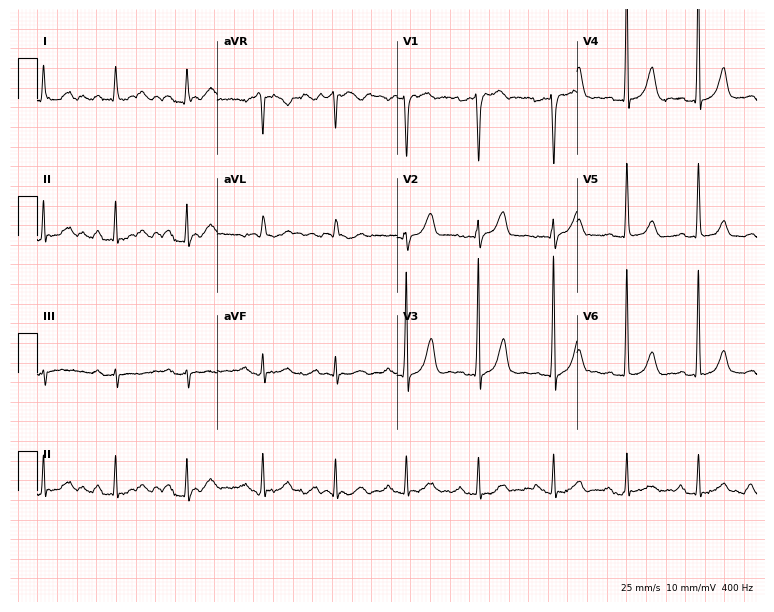
Resting 12-lead electrocardiogram. Patient: a 59-year-old male. Read as a normal ECG.